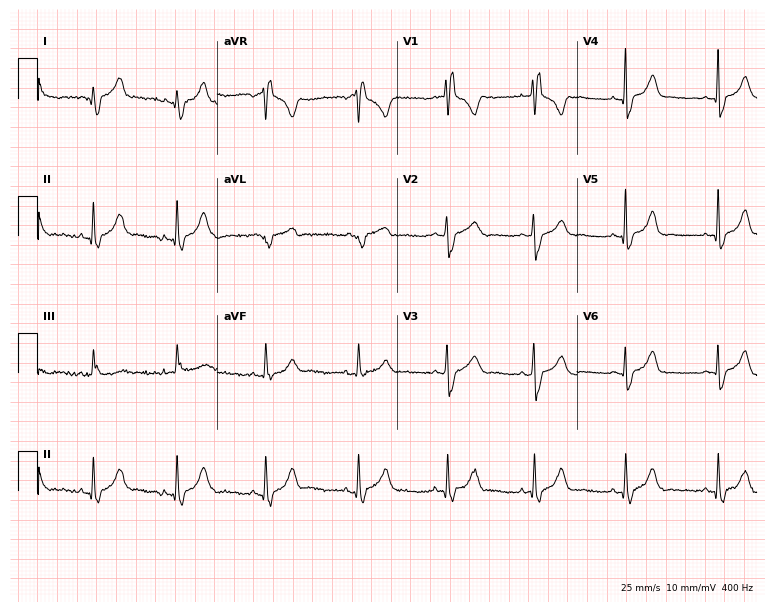
Electrocardiogram (7.3-second recording at 400 Hz), a female, 36 years old. Interpretation includes right bundle branch block.